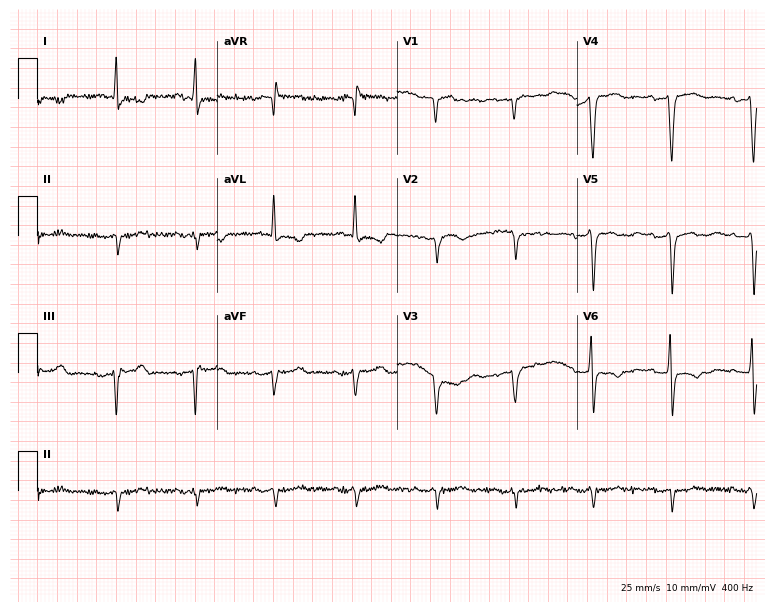
Electrocardiogram (7.3-second recording at 400 Hz), a female, 75 years old. Of the six screened findings (first-degree AV block, right bundle branch block (RBBB), left bundle branch block (LBBB), sinus bradycardia, atrial fibrillation (AF), sinus tachycardia), none is recorded. Other findings, if any, are not listed.